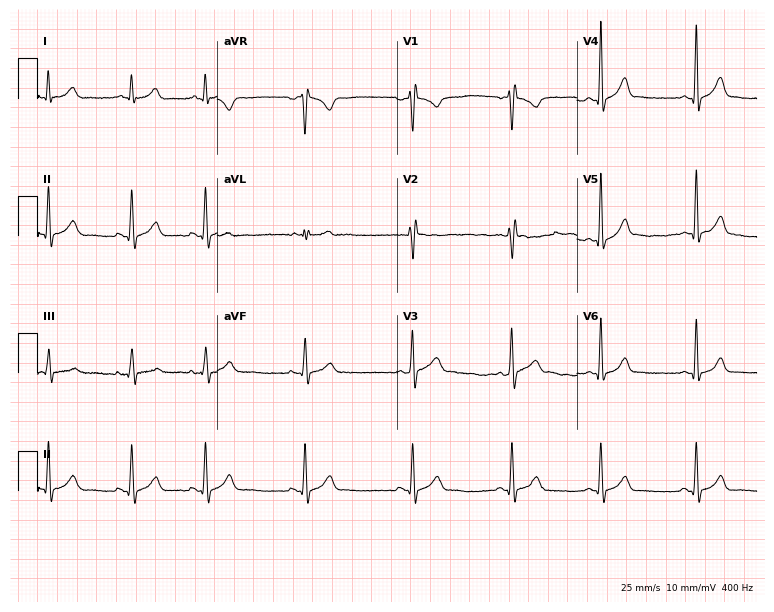
Resting 12-lead electrocardiogram. Patient: an 18-year-old man. None of these six findings is recorded: first-degree AV block, right bundle branch block (RBBB), left bundle branch block (LBBB), sinus bradycardia, atrial fibrillation (AF), sinus tachycardia. Findings outside these six are not listed.